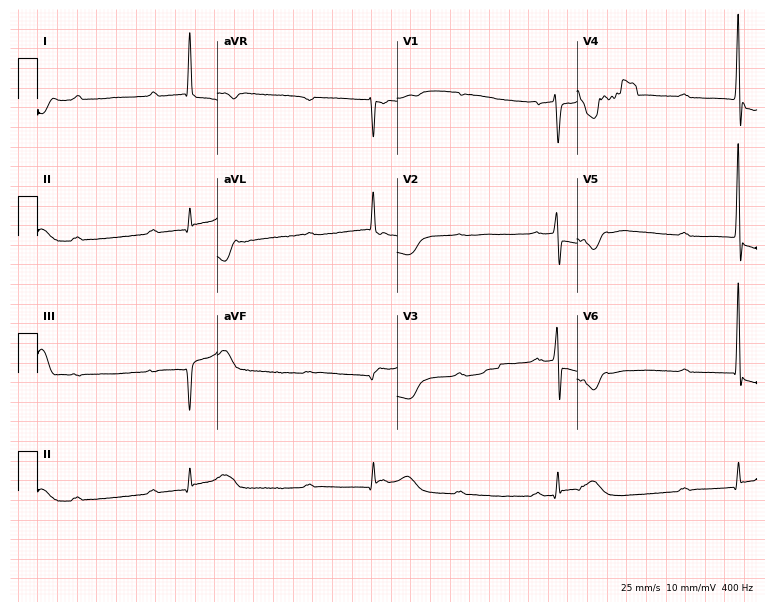
Resting 12-lead electrocardiogram (7.3-second recording at 400 Hz). Patient: a 60-year-old man. None of these six findings is recorded: first-degree AV block, right bundle branch block, left bundle branch block, sinus bradycardia, atrial fibrillation, sinus tachycardia.